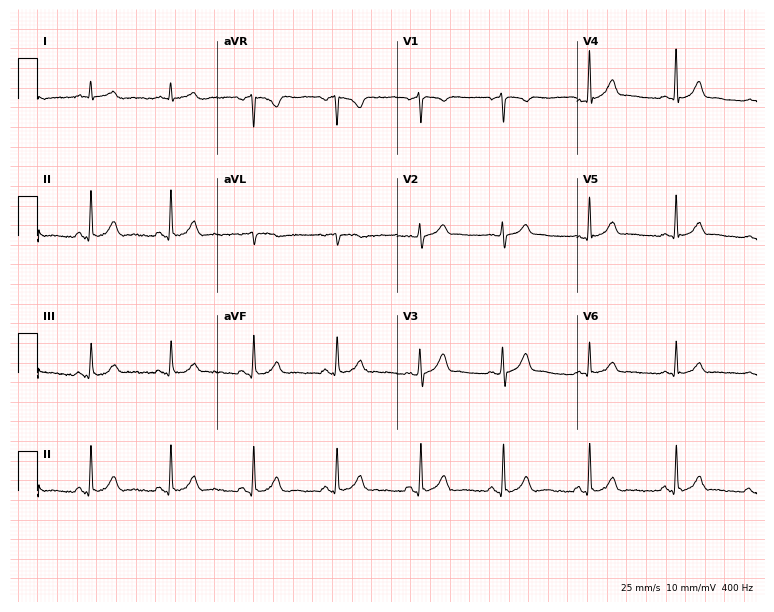
Standard 12-lead ECG recorded from a male patient, 44 years old (7.3-second recording at 400 Hz). Read as a normal ECG.